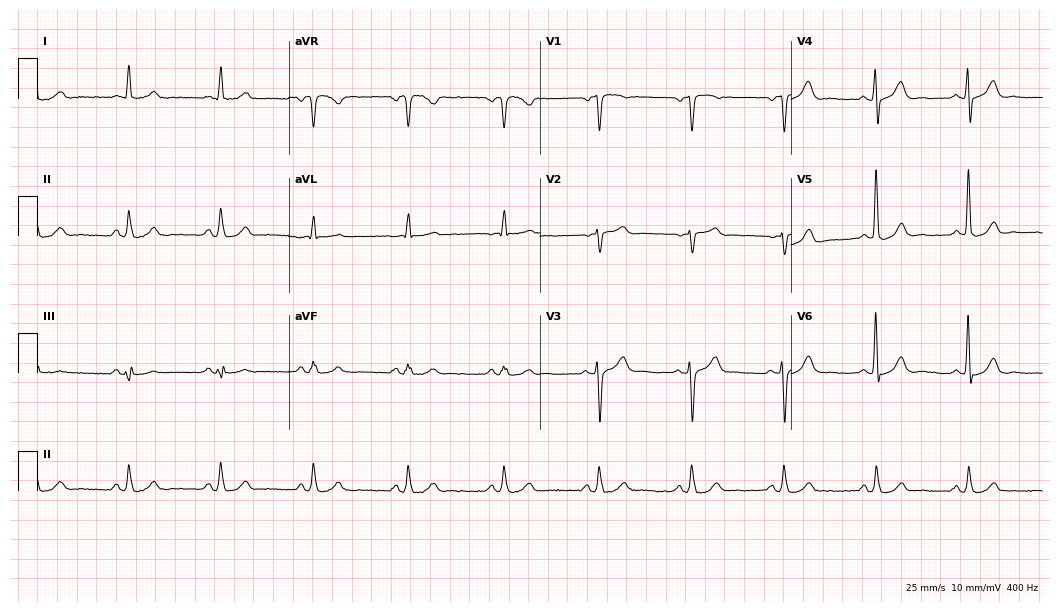
ECG (10.2-second recording at 400 Hz) — a man, 60 years old. Screened for six findings — first-degree AV block, right bundle branch block (RBBB), left bundle branch block (LBBB), sinus bradycardia, atrial fibrillation (AF), sinus tachycardia — none is recorded.